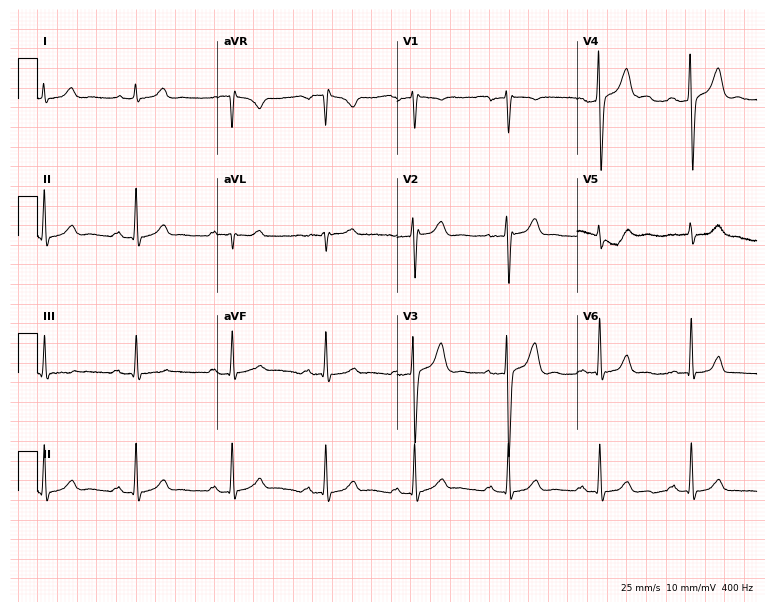
Electrocardiogram, a 49-year-old male. Overall reading on record: normal ECG.